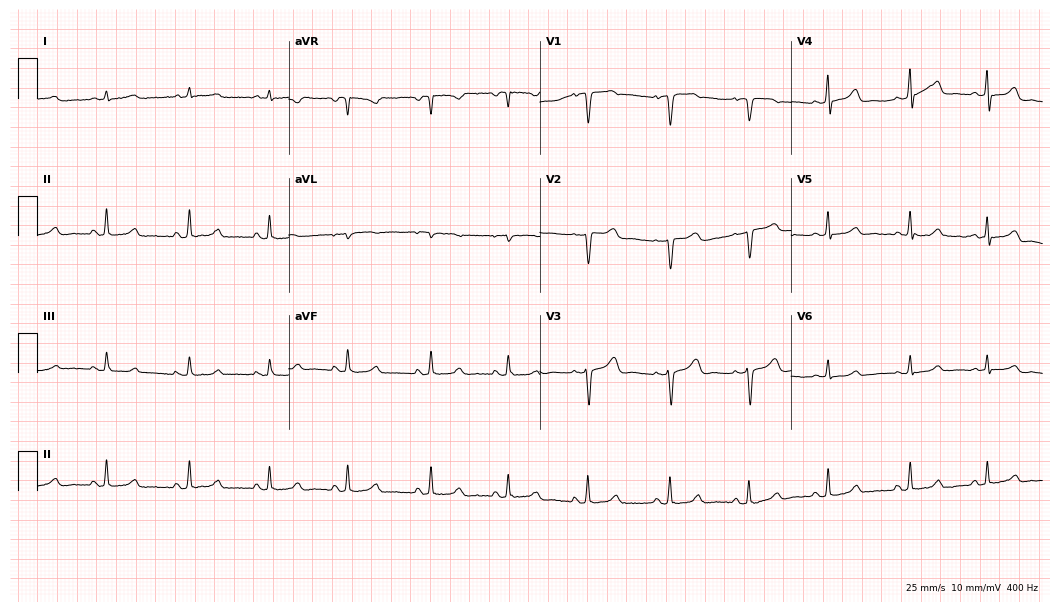
ECG — a 49-year-old female patient. Screened for six findings — first-degree AV block, right bundle branch block (RBBB), left bundle branch block (LBBB), sinus bradycardia, atrial fibrillation (AF), sinus tachycardia — none is recorded.